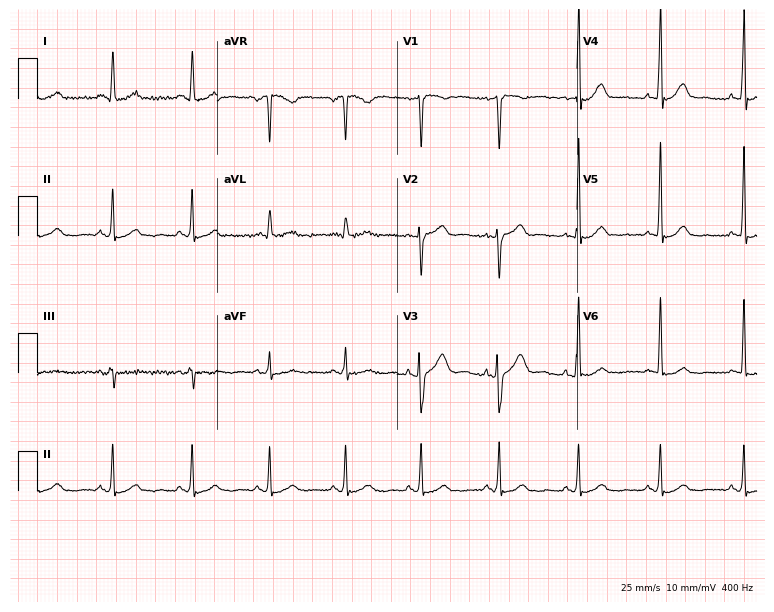
Electrocardiogram, a 42-year-old female. Overall reading on record: normal ECG.